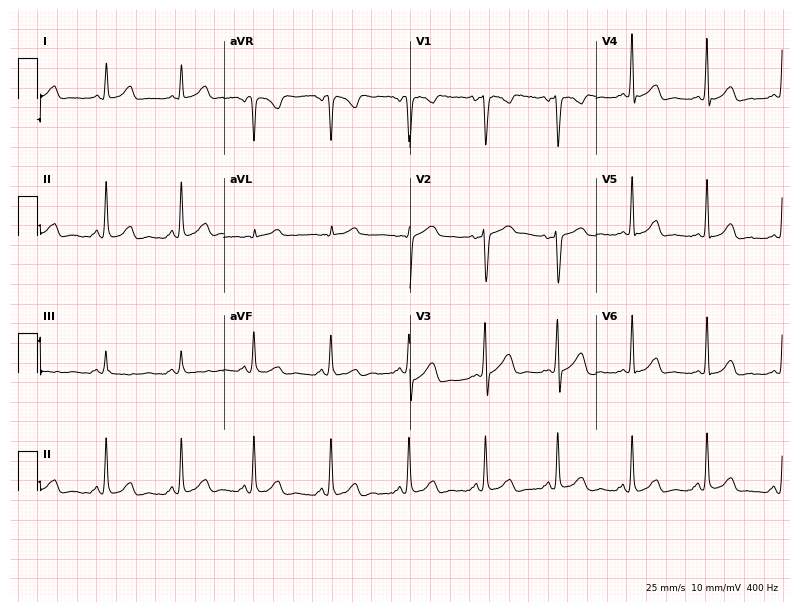
Electrocardiogram (7.6-second recording at 400 Hz), a woman, 39 years old. Overall reading on record: normal ECG.